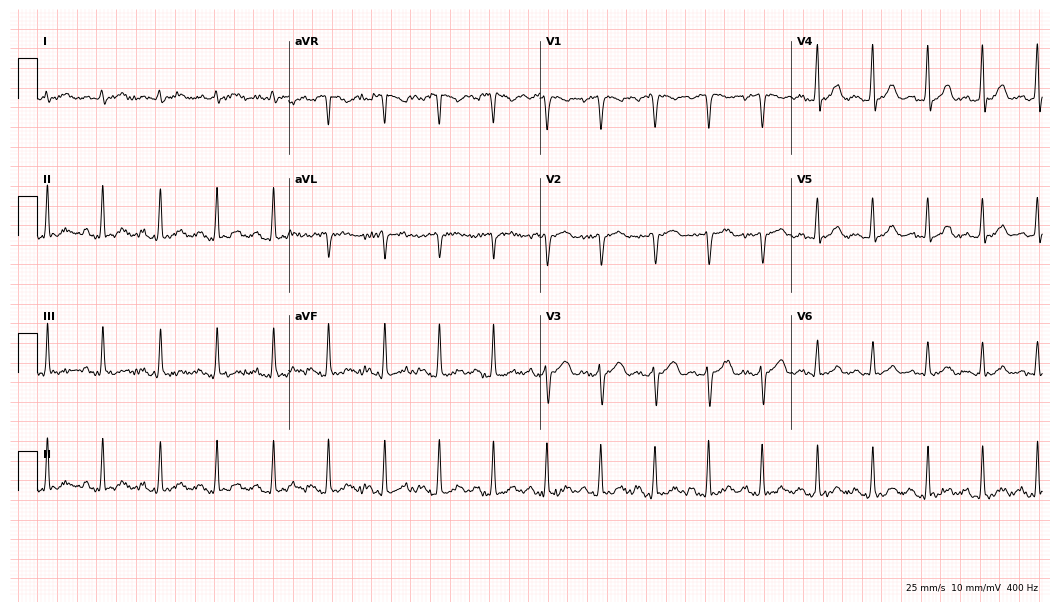
ECG (10.2-second recording at 400 Hz) — a female, 22 years old. Findings include sinus tachycardia (a sinus rate of 100 beats per minute or more).